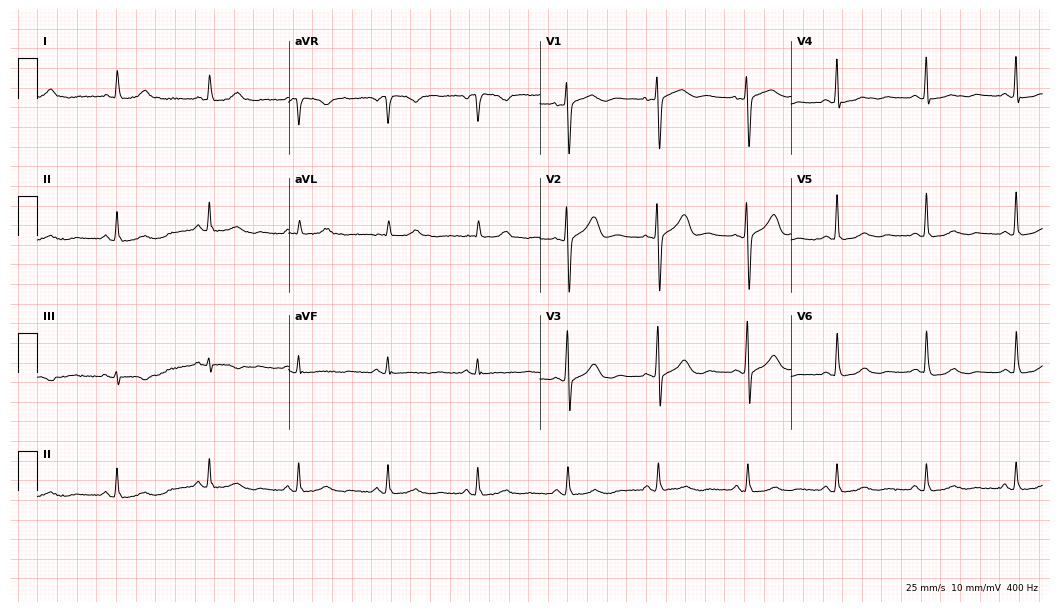
Resting 12-lead electrocardiogram. Patient: a woman, 72 years old. None of these six findings is recorded: first-degree AV block, right bundle branch block, left bundle branch block, sinus bradycardia, atrial fibrillation, sinus tachycardia.